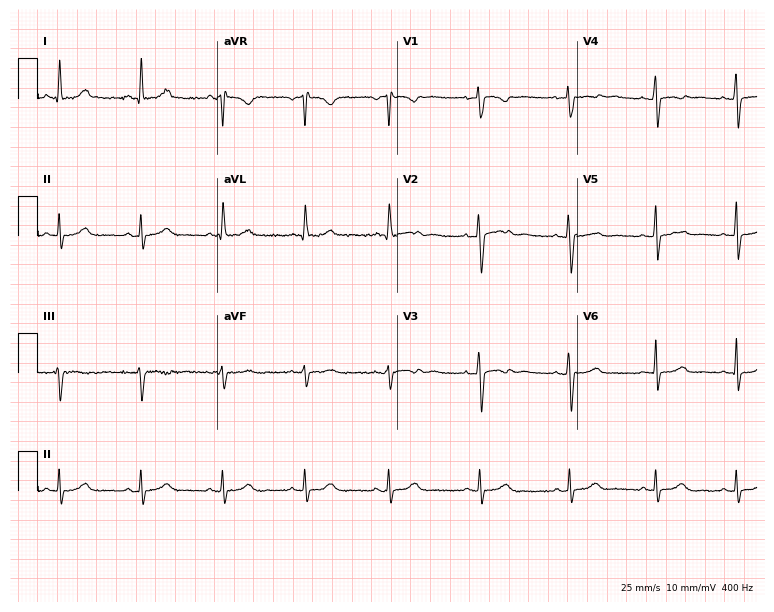
ECG — an 18-year-old woman. Labelled as a normal ECG.